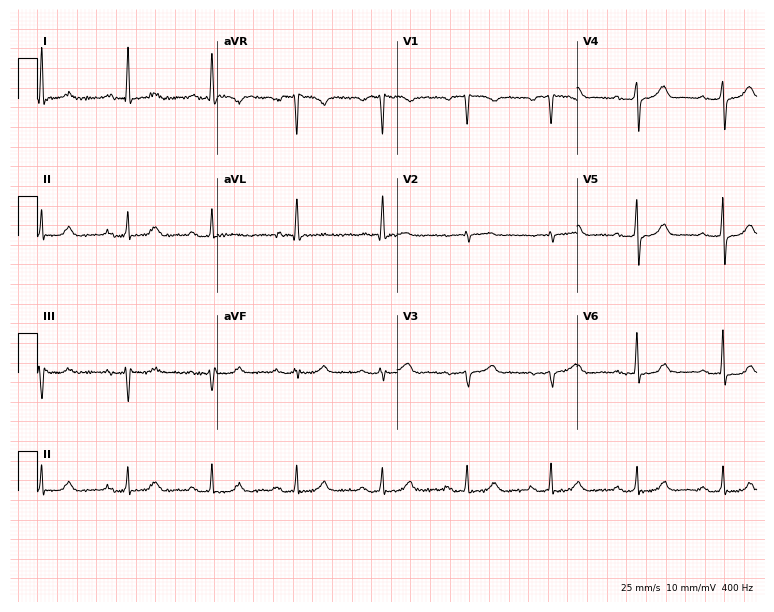
12-lead ECG from a 71-year-old female. Recorded interpretation: within normal limits.